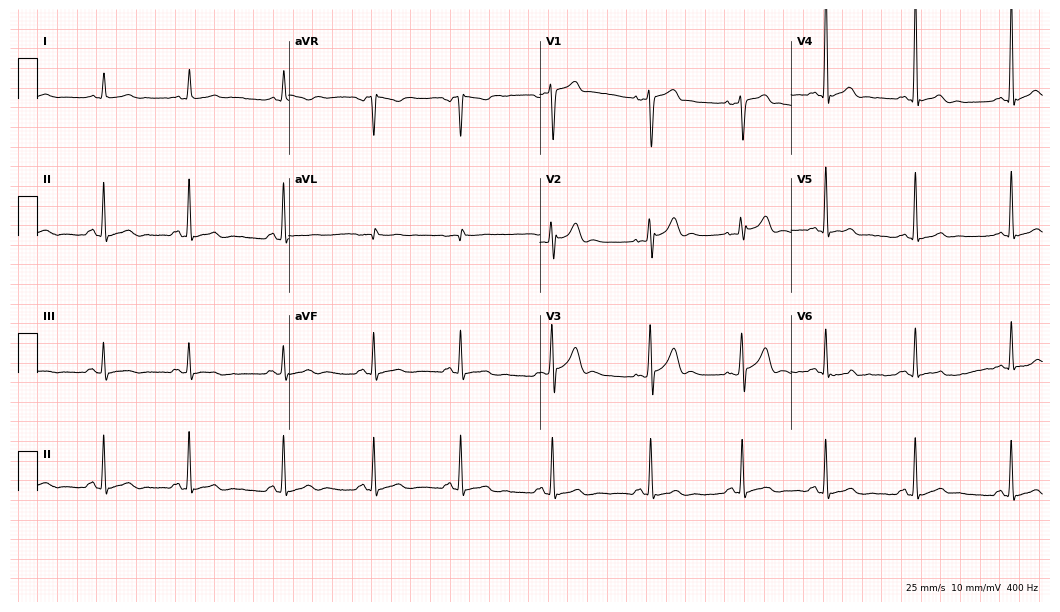
Resting 12-lead electrocardiogram. Patient: a 21-year-old male. Read as a normal ECG.